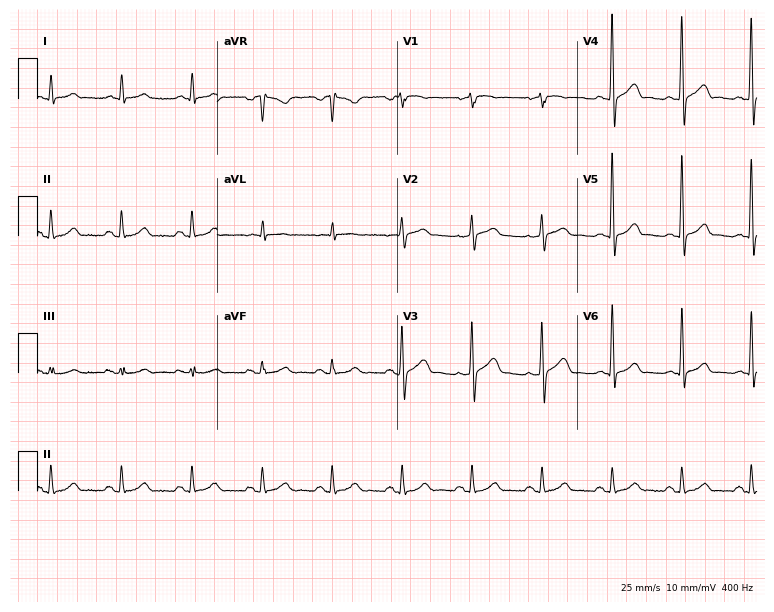
ECG (7.3-second recording at 400 Hz) — a man, 38 years old. Labelled as a normal ECG.